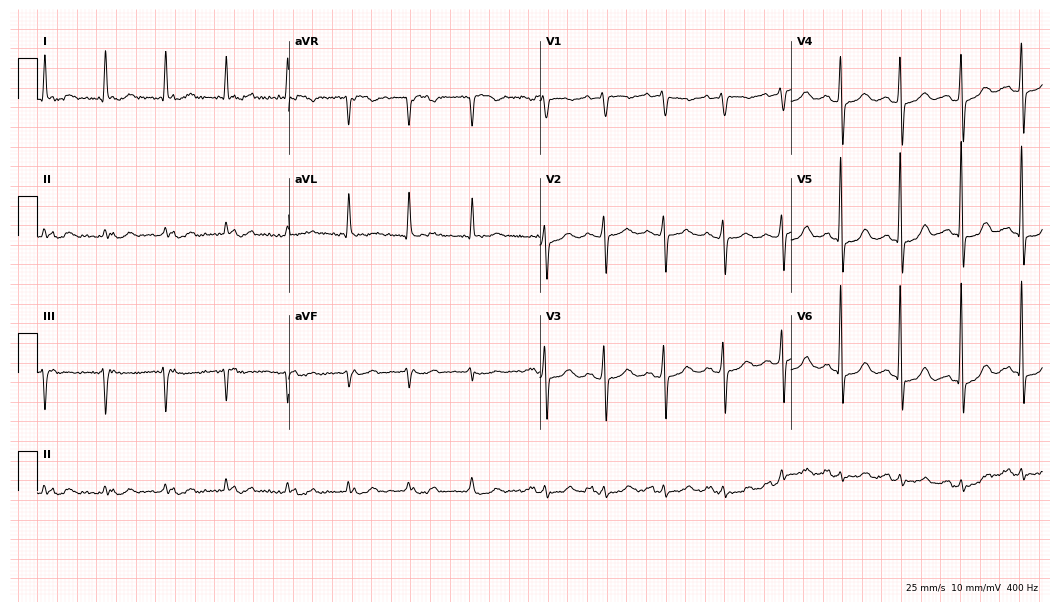
ECG (10.2-second recording at 400 Hz) — a 73-year-old male patient. Screened for six findings — first-degree AV block, right bundle branch block (RBBB), left bundle branch block (LBBB), sinus bradycardia, atrial fibrillation (AF), sinus tachycardia — none is recorded. Other findings, if any, are not listed.